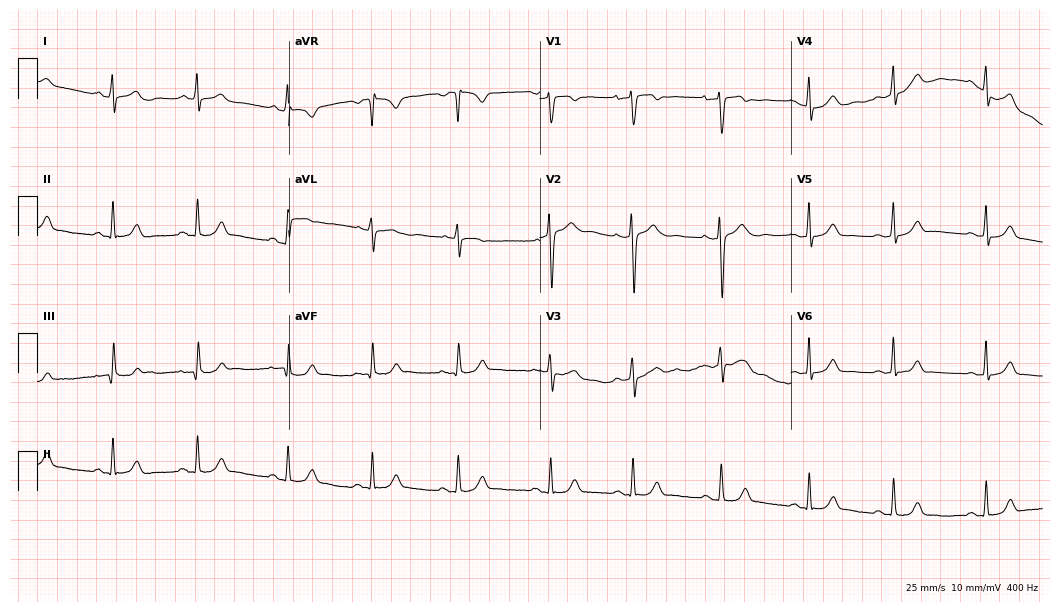
Resting 12-lead electrocardiogram (10.2-second recording at 400 Hz). Patient: a 27-year-old woman. None of these six findings is recorded: first-degree AV block, right bundle branch block, left bundle branch block, sinus bradycardia, atrial fibrillation, sinus tachycardia.